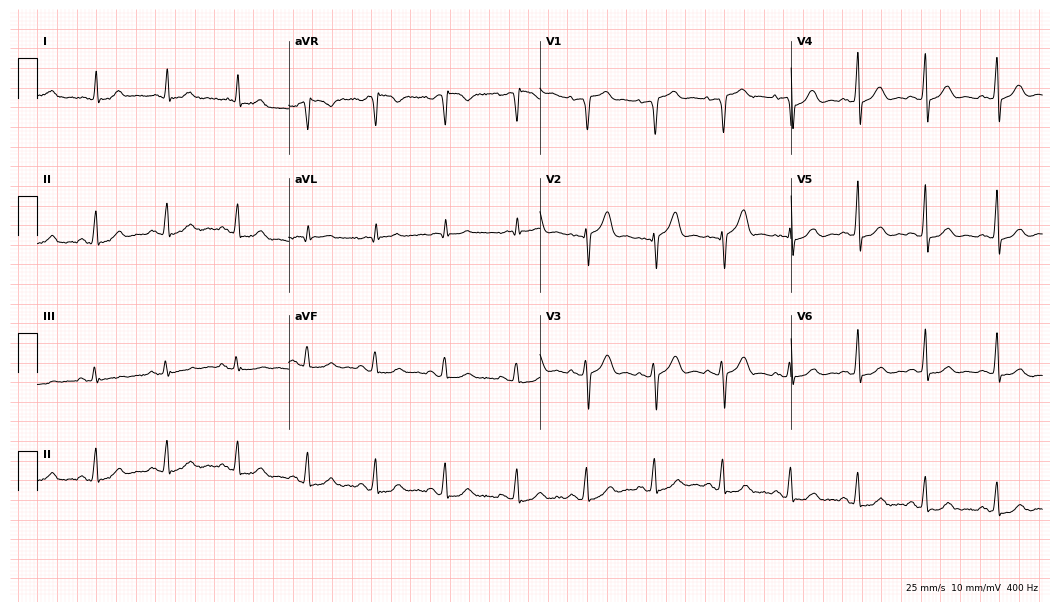
Electrocardiogram (10.2-second recording at 400 Hz), a 55-year-old man. Overall reading on record: normal ECG.